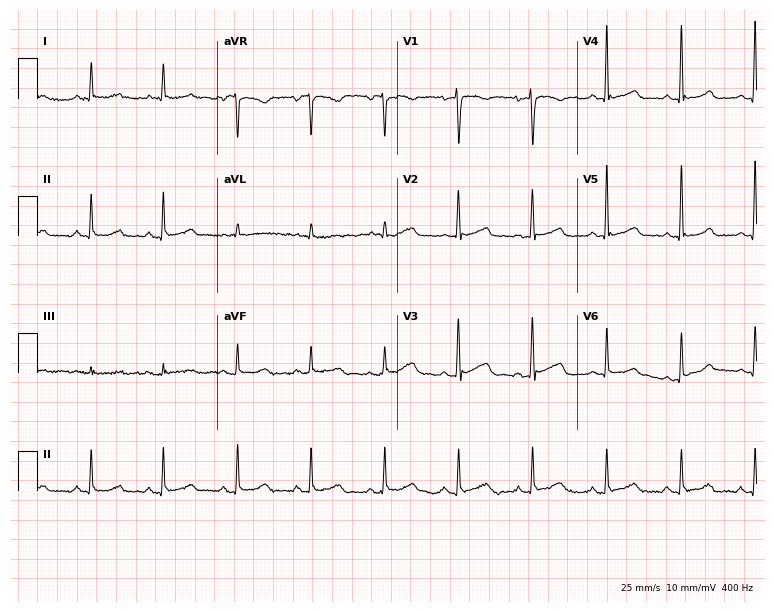
12-lead ECG from a 77-year-old woman (7.3-second recording at 400 Hz). No first-degree AV block, right bundle branch block, left bundle branch block, sinus bradycardia, atrial fibrillation or sinus tachycardia recorded for this tracing.